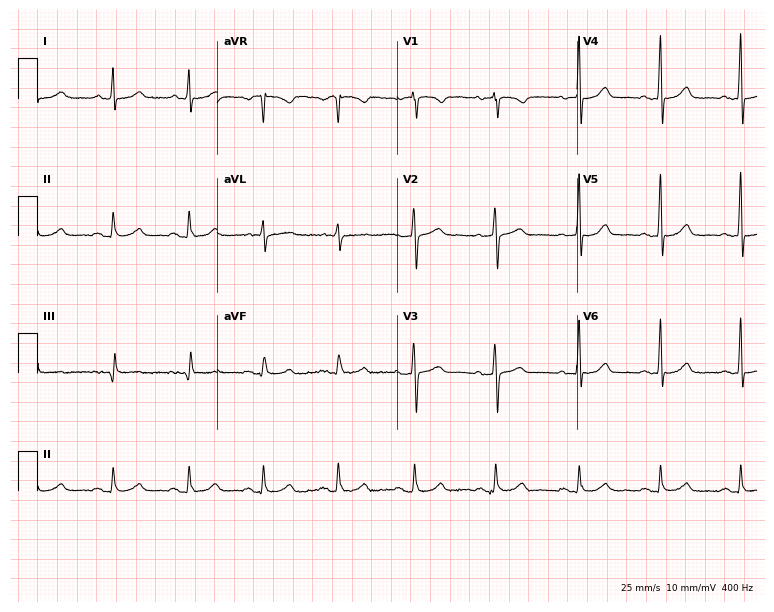
Electrocardiogram, a female patient, 63 years old. Overall reading on record: normal ECG.